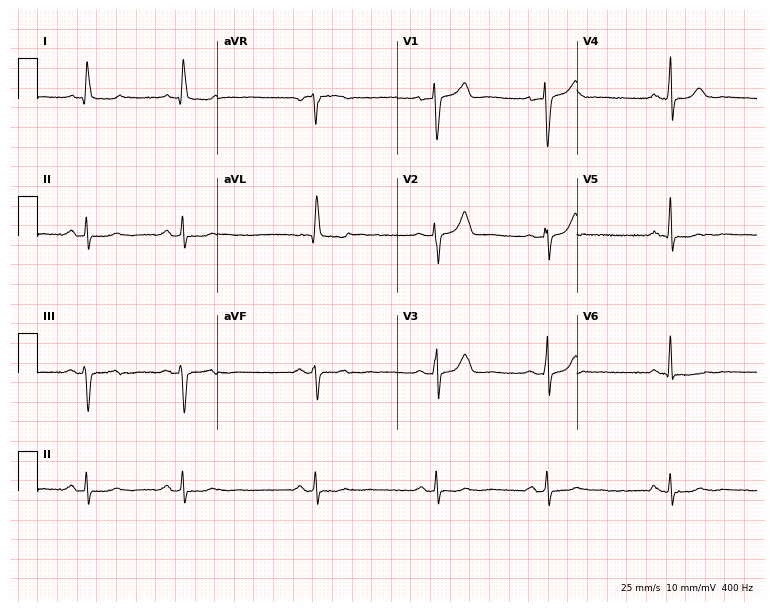
Standard 12-lead ECG recorded from a male patient, 81 years old (7.3-second recording at 400 Hz). None of these six findings is recorded: first-degree AV block, right bundle branch block, left bundle branch block, sinus bradycardia, atrial fibrillation, sinus tachycardia. Findings outside these six are not listed.